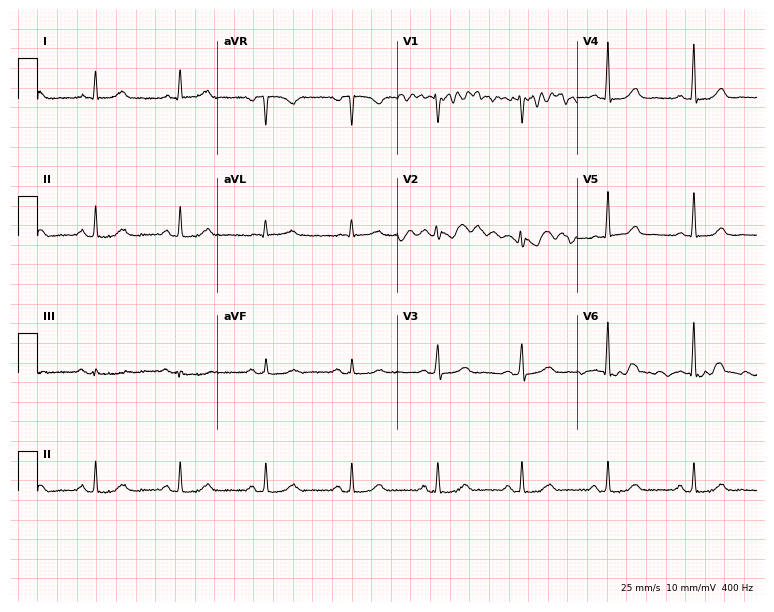
Electrocardiogram, a 61-year-old male patient. Of the six screened findings (first-degree AV block, right bundle branch block, left bundle branch block, sinus bradycardia, atrial fibrillation, sinus tachycardia), none is recorded. Other findings, if any, are not listed.